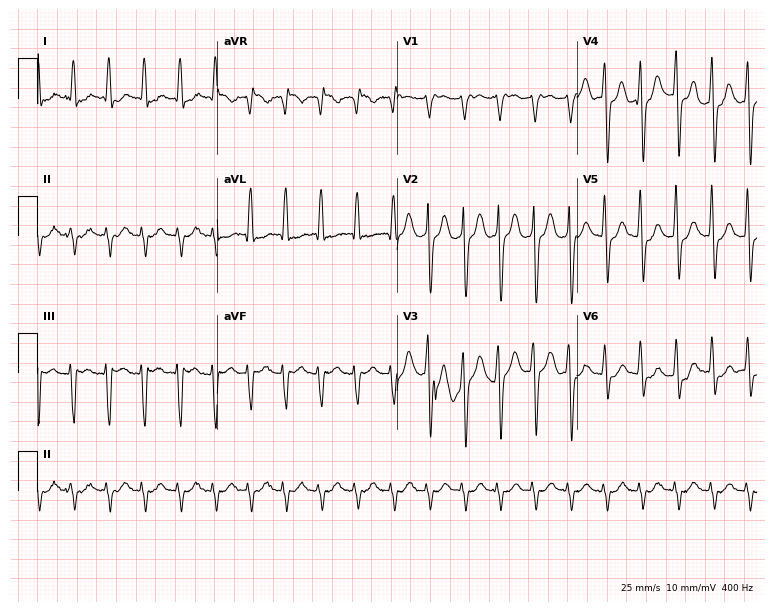
ECG (7.3-second recording at 400 Hz) — a male patient, 61 years old. Findings include atrial fibrillation (AF), sinus tachycardia (a sinus rate of 100 beats per minute or more).